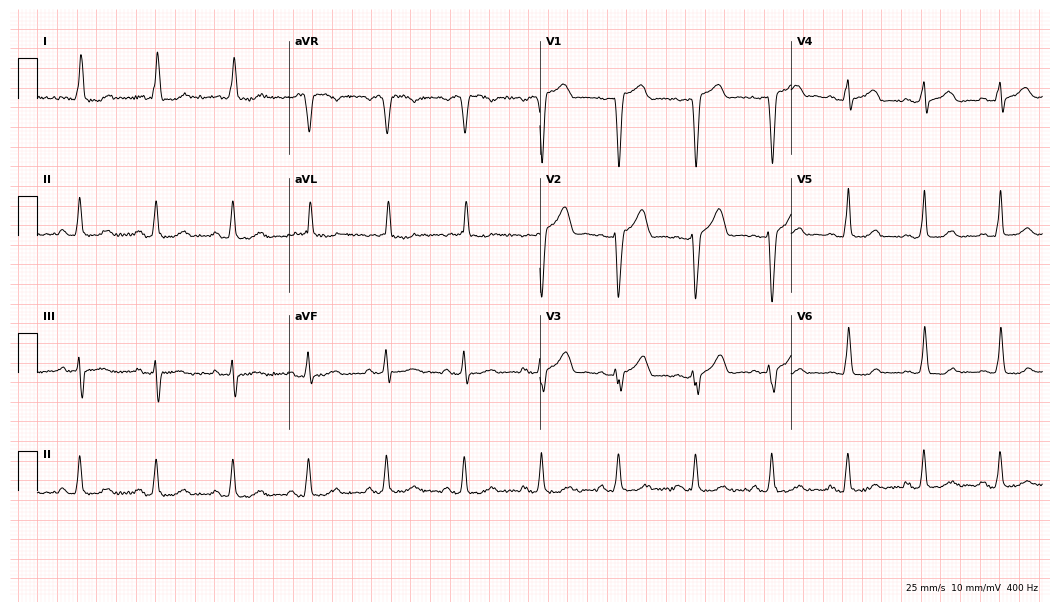
Resting 12-lead electrocardiogram. Patient: a 76-year-old female. None of these six findings is recorded: first-degree AV block, right bundle branch block, left bundle branch block, sinus bradycardia, atrial fibrillation, sinus tachycardia.